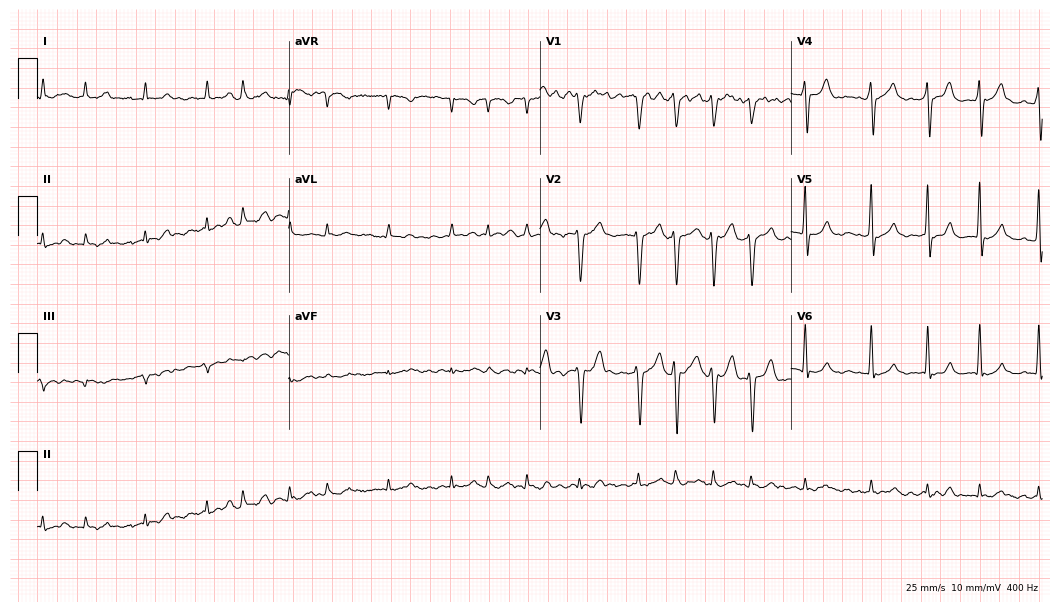
Resting 12-lead electrocardiogram (10.2-second recording at 400 Hz). Patient: a man, 71 years old. The tracing shows atrial fibrillation.